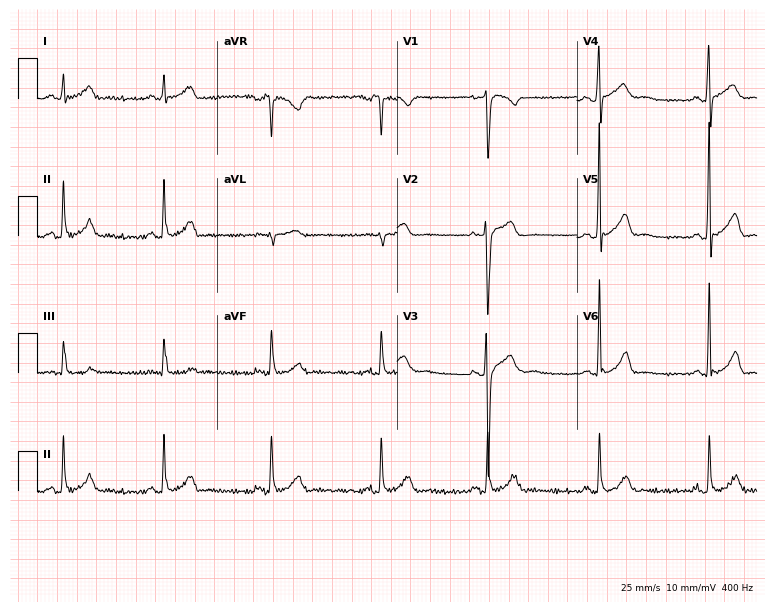
ECG — a man, 21 years old. Screened for six findings — first-degree AV block, right bundle branch block (RBBB), left bundle branch block (LBBB), sinus bradycardia, atrial fibrillation (AF), sinus tachycardia — none is recorded. Findings outside these six are not listed.